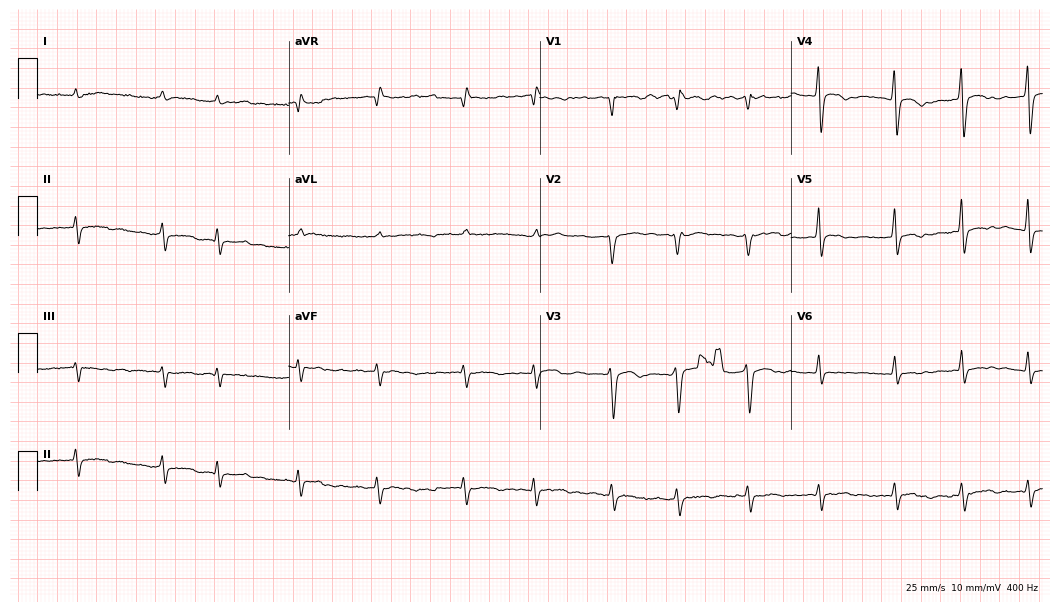
12-lead ECG from a female, 72 years old. Findings include atrial fibrillation.